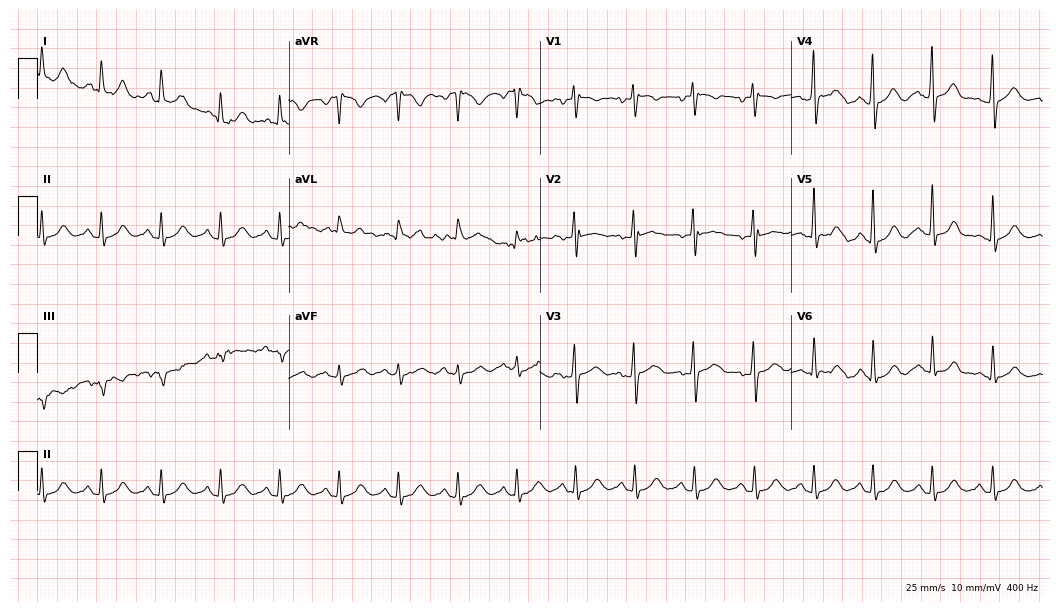
Standard 12-lead ECG recorded from a 65-year-old male. None of these six findings is recorded: first-degree AV block, right bundle branch block (RBBB), left bundle branch block (LBBB), sinus bradycardia, atrial fibrillation (AF), sinus tachycardia. Only these six findings were labelled.